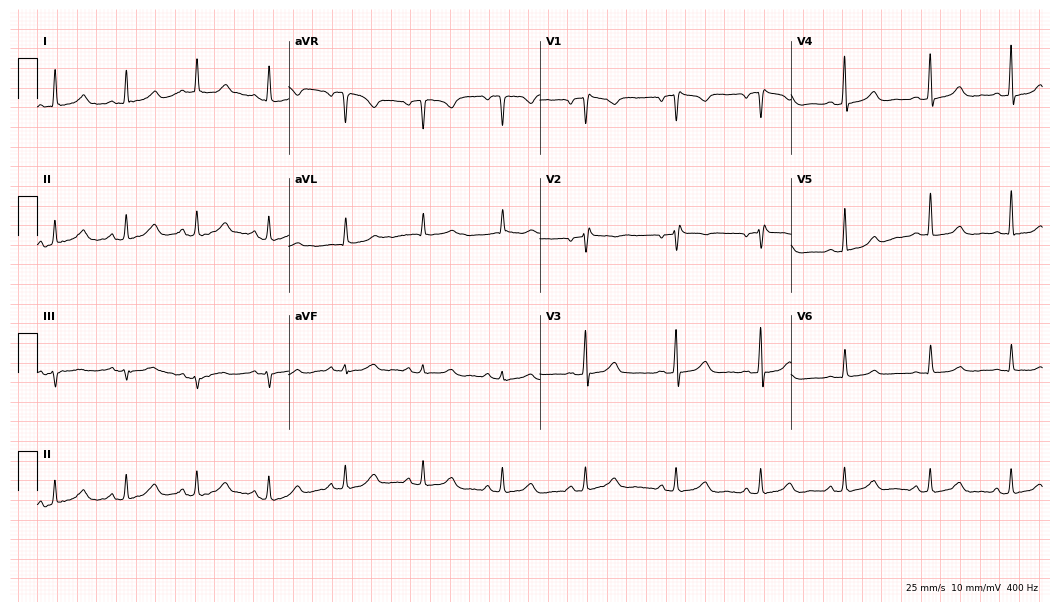
Standard 12-lead ECG recorded from a 49-year-old woman. None of these six findings is recorded: first-degree AV block, right bundle branch block (RBBB), left bundle branch block (LBBB), sinus bradycardia, atrial fibrillation (AF), sinus tachycardia. Other findings, if any, are not listed.